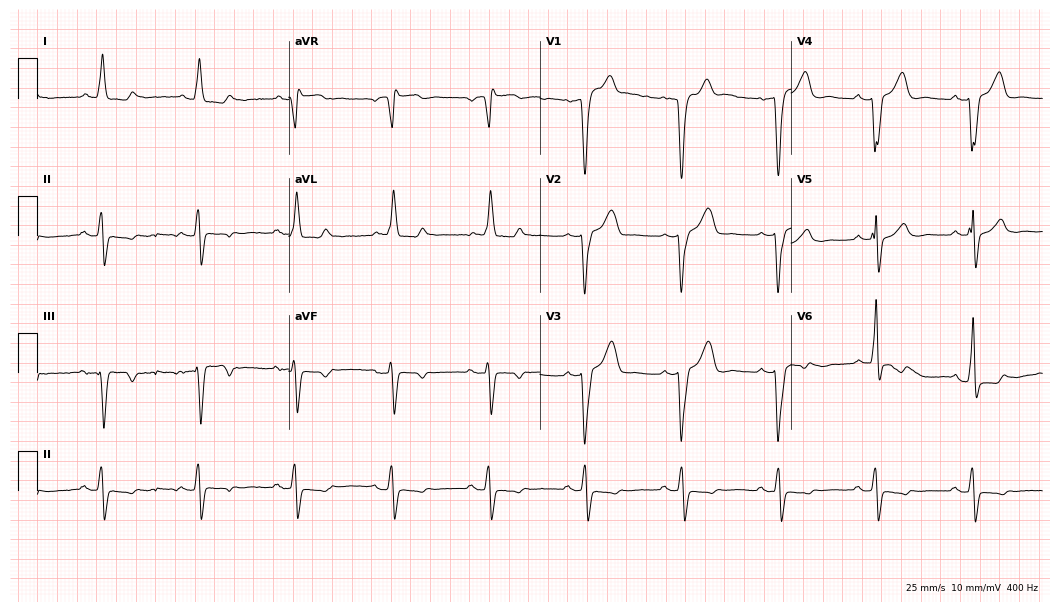
Standard 12-lead ECG recorded from a 75-year-old male patient. None of these six findings is recorded: first-degree AV block, right bundle branch block, left bundle branch block, sinus bradycardia, atrial fibrillation, sinus tachycardia. Only these six findings were labelled.